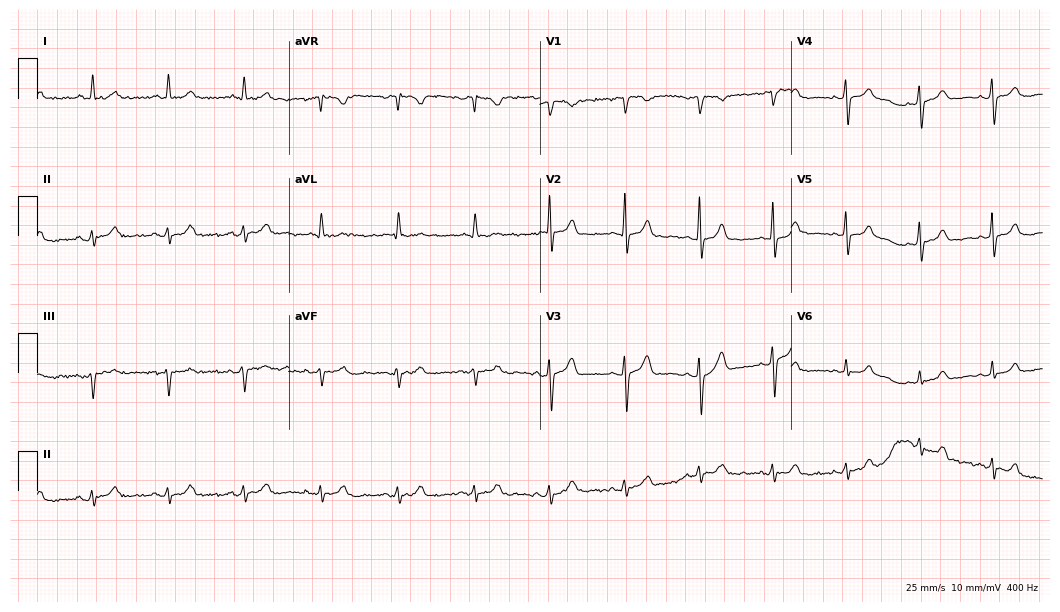
12-lead ECG (10.2-second recording at 400 Hz) from a female patient, 73 years old. Screened for six findings — first-degree AV block, right bundle branch block, left bundle branch block, sinus bradycardia, atrial fibrillation, sinus tachycardia — none is recorded. Only these six findings were labelled.